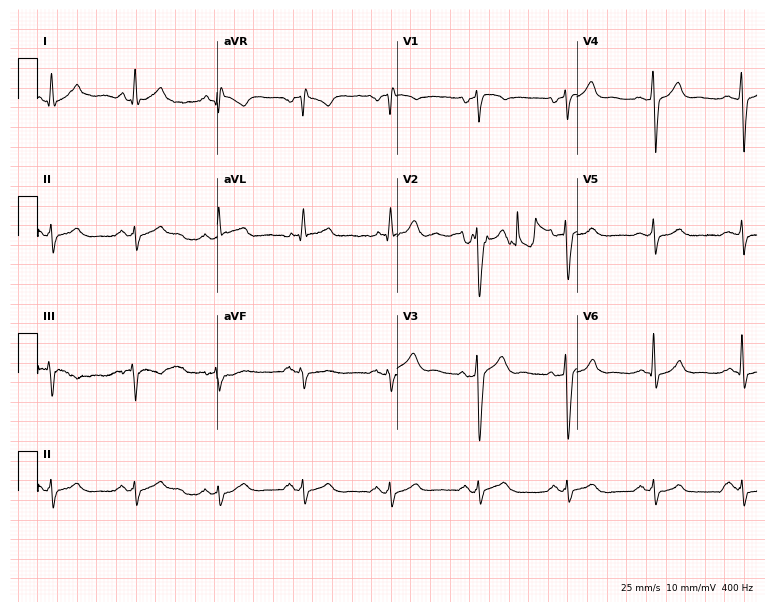
Resting 12-lead electrocardiogram. Patient: a man, 52 years old. None of these six findings is recorded: first-degree AV block, right bundle branch block (RBBB), left bundle branch block (LBBB), sinus bradycardia, atrial fibrillation (AF), sinus tachycardia.